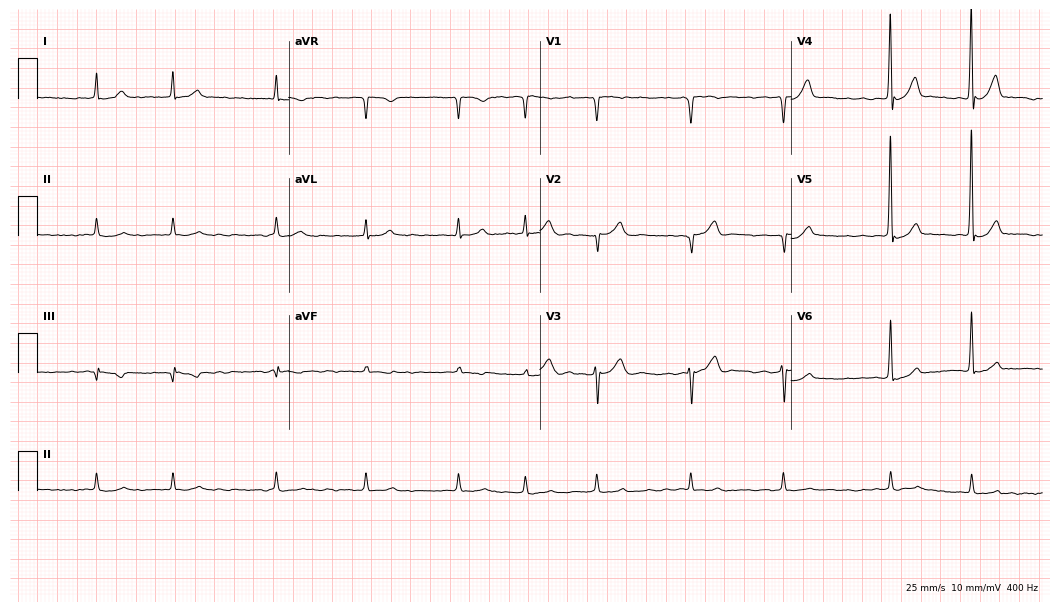
Resting 12-lead electrocardiogram. Patient: a male, 80 years old. The tracing shows atrial fibrillation.